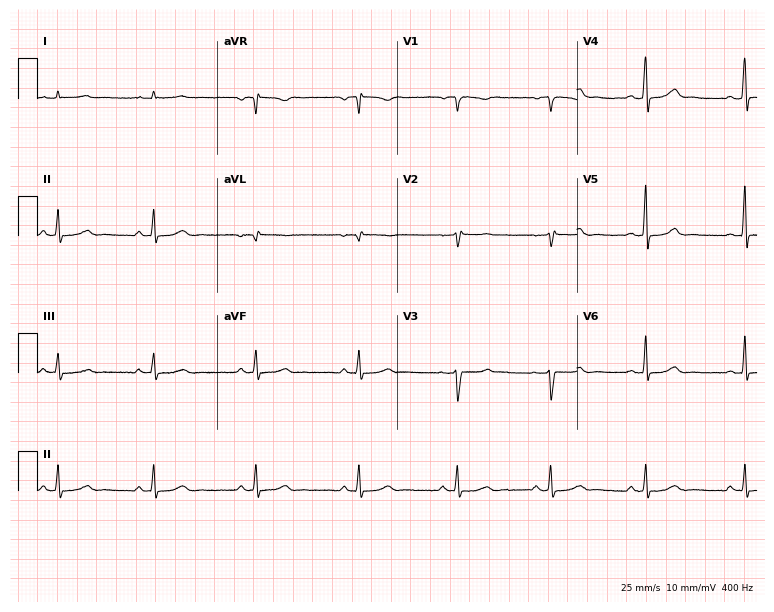
Electrocardiogram (7.3-second recording at 400 Hz), a 31-year-old female. Of the six screened findings (first-degree AV block, right bundle branch block, left bundle branch block, sinus bradycardia, atrial fibrillation, sinus tachycardia), none is recorded. Other findings, if any, are not listed.